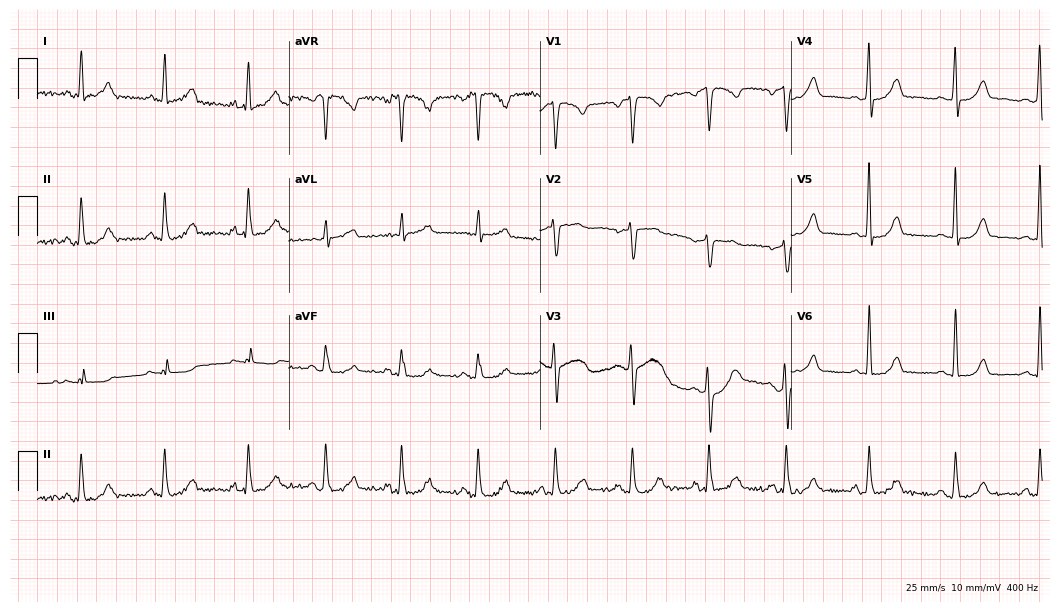
Standard 12-lead ECG recorded from a 37-year-old female. None of these six findings is recorded: first-degree AV block, right bundle branch block, left bundle branch block, sinus bradycardia, atrial fibrillation, sinus tachycardia.